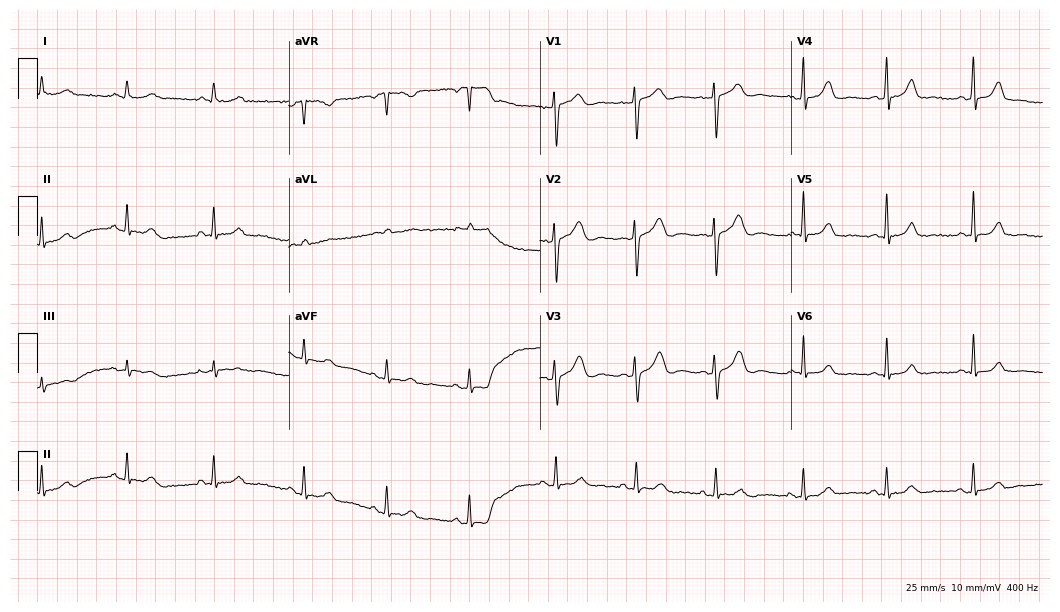
Resting 12-lead electrocardiogram (10.2-second recording at 400 Hz). Patient: a 44-year-old female. Read as a normal ECG.